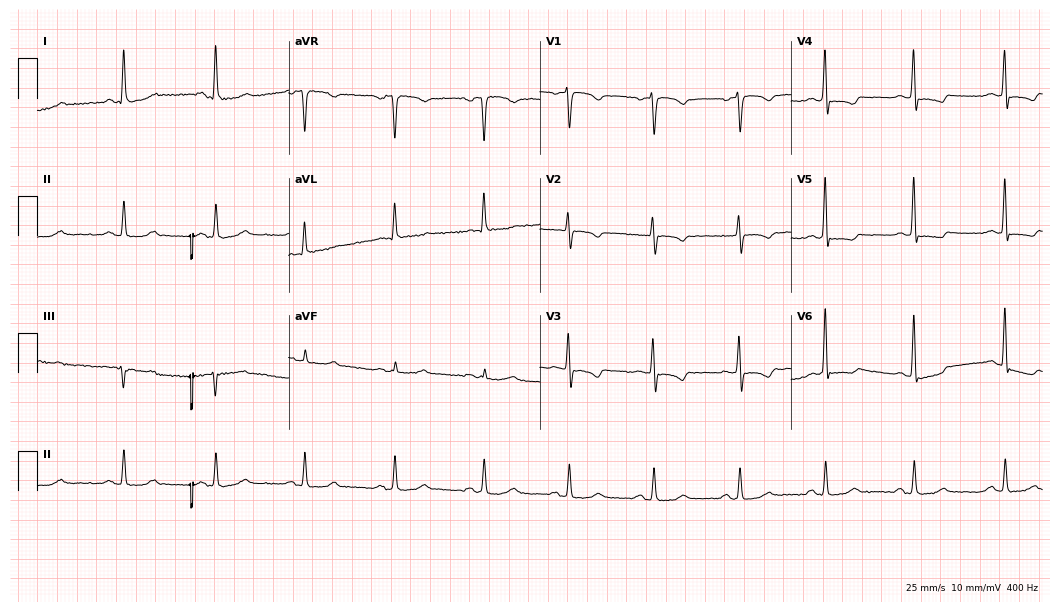
Resting 12-lead electrocardiogram (10.2-second recording at 400 Hz). Patient: a 62-year-old female. None of these six findings is recorded: first-degree AV block, right bundle branch block, left bundle branch block, sinus bradycardia, atrial fibrillation, sinus tachycardia.